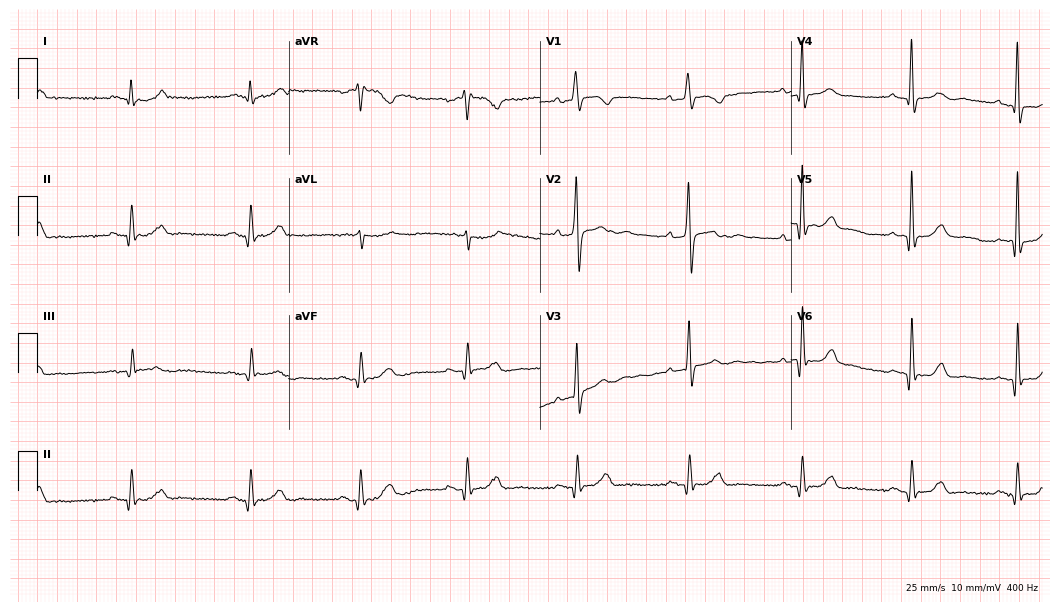
Standard 12-lead ECG recorded from a 50-year-old man (10.2-second recording at 400 Hz). None of these six findings is recorded: first-degree AV block, right bundle branch block, left bundle branch block, sinus bradycardia, atrial fibrillation, sinus tachycardia.